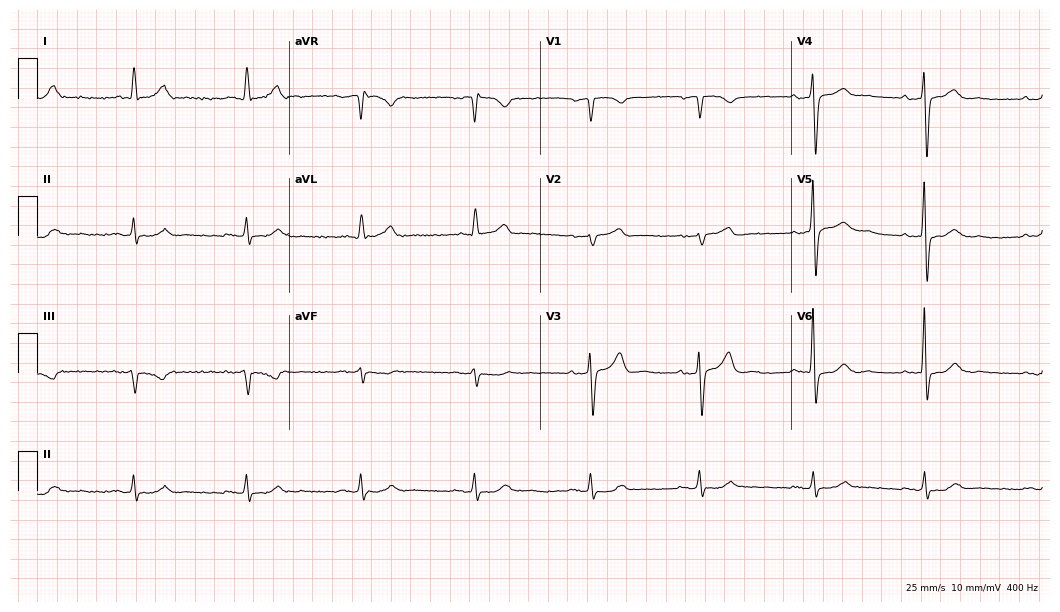
Standard 12-lead ECG recorded from a 69-year-old male (10.2-second recording at 400 Hz). None of these six findings is recorded: first-degree AV block, right bundle branch block, left bundle branch block, sinus bradycardia, atrial fibrillation, sinus tachycardia.